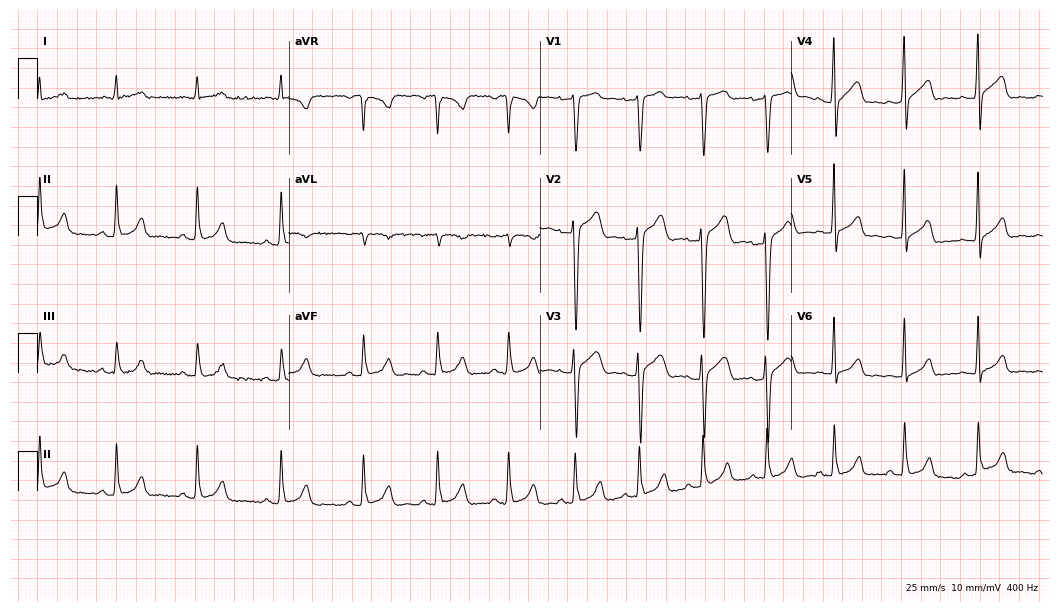
12-lead ECG from a man, 41 years old (10.2-second recording at 400 Hz). Recorded interpretation: within normal limits.